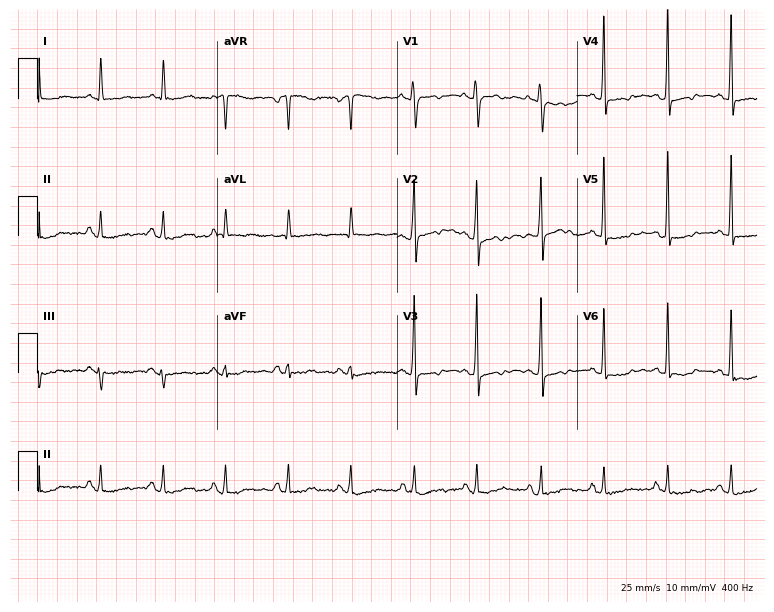
ECG (7.3-second recording at 400 Hz) — an 81-year-old female patient. Screened for six findings — first-degree AV block, right bundle branch block (RBBB), left bundle branch block (LBBB), sinus bradycardia, atrial fibrillation (AF), sinus tachycardia — none is recorded. Other findings, if any, are not listed.